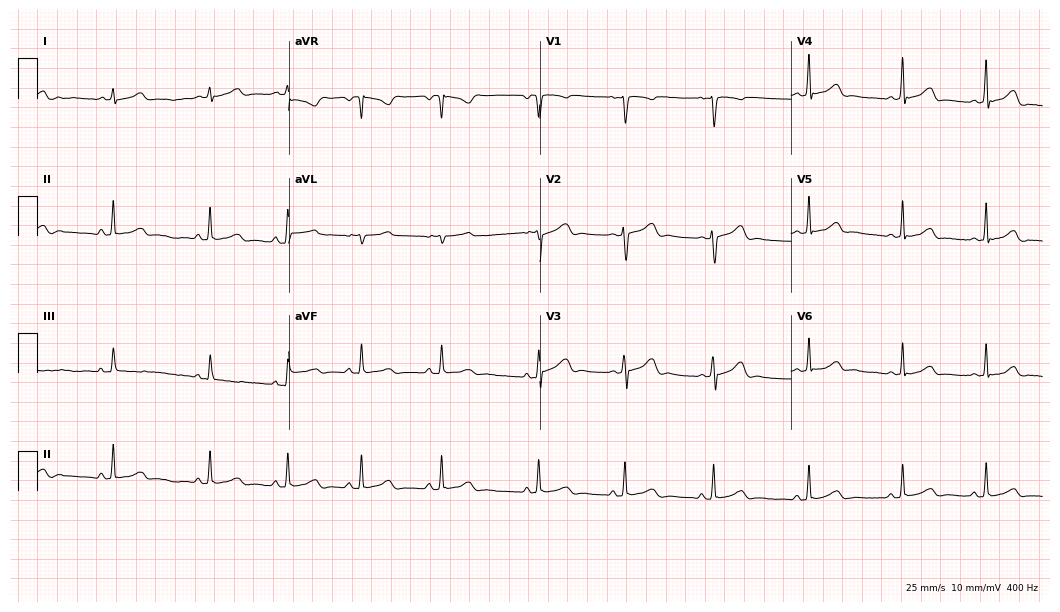
Resting 12-lead electrocardiogram. Patient: a 25-year-old woman. Read as a normal ECG.